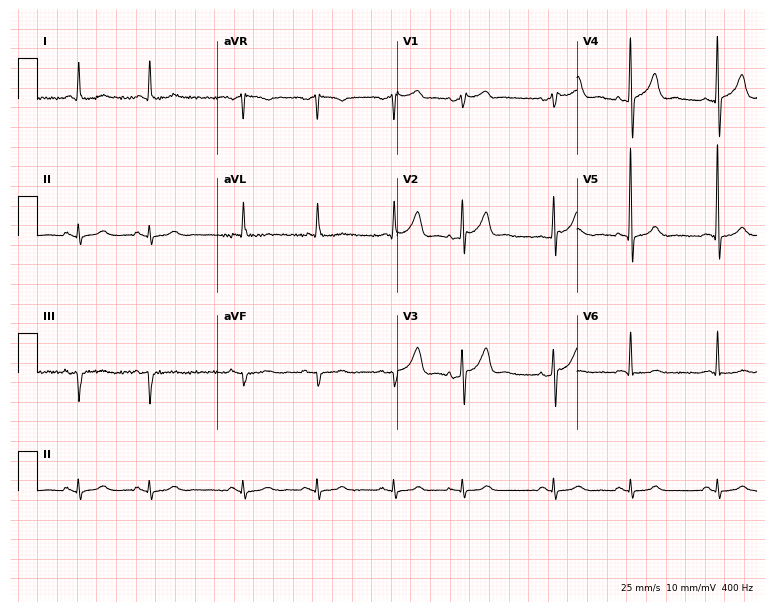
12-lead ECG from a male patient, 80 years old (7.3-second recording at 400 Hz). No first-degree AV block, right bundle branch block, left bundle branch block, sinus bradycardia, atrial fibrillation or sinus tachycardia recorded for this tracing.